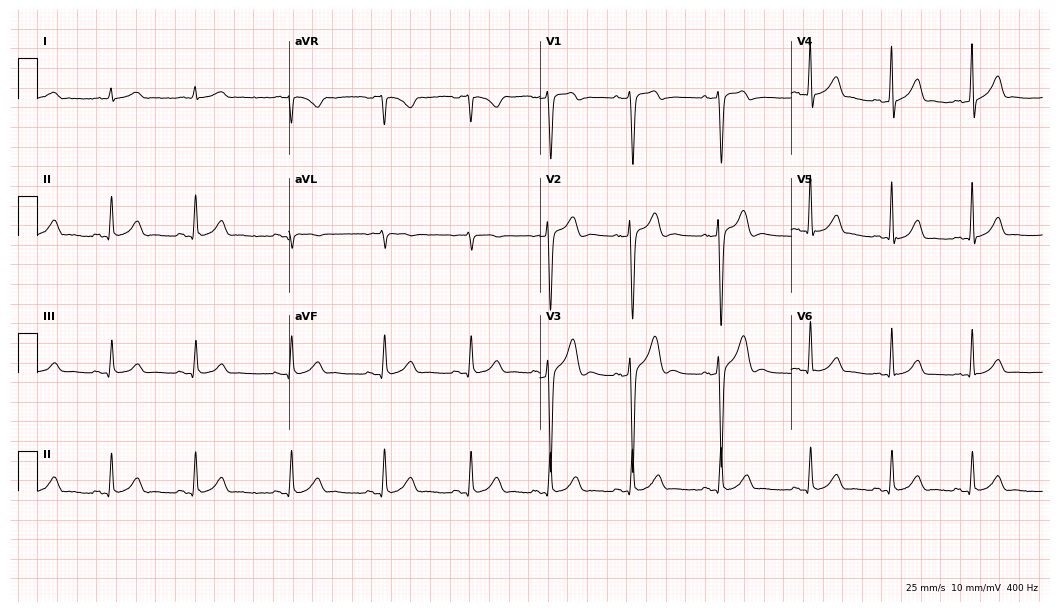
Standard 12-lead ECG recorded from a male patient, 19 years old (10.2-second recording at 400 Hz). None of these six findings is recorded: first-degree AV block, right bundle branch block, left bundle branch block, sinus bradycardia, atrial fibrillation, sinus tachycardia.